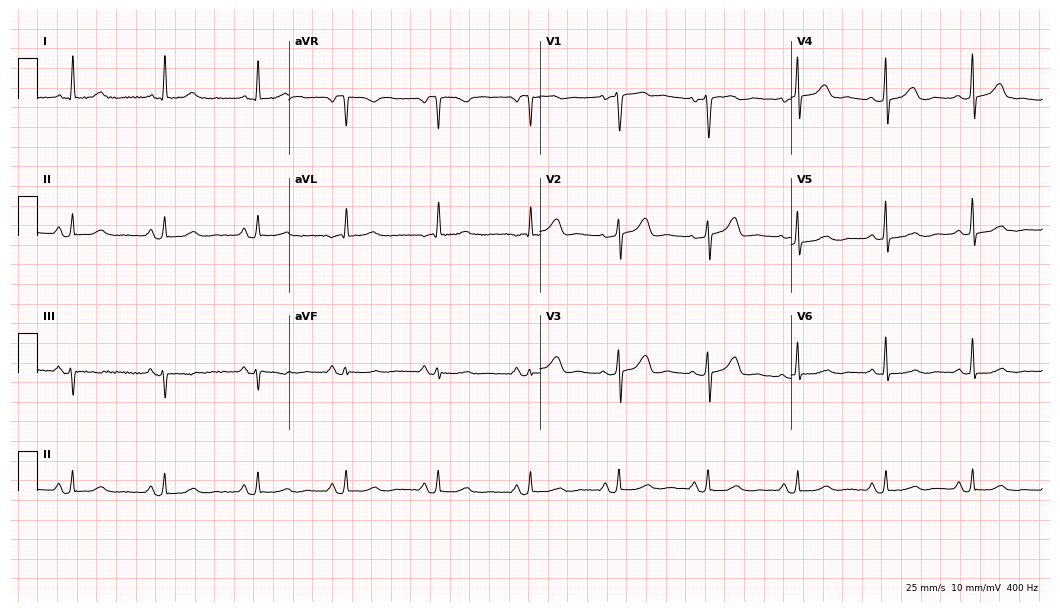
12-lead ECG from a woman, 52 years old (10.2-second recording at 400 Hz). No first-degree AV block, right bundle branch block (RBBB), left bundle branch block (LBBB), sinus bradycardia, atrial fibrillation (AF) or sinus tachycardia recorded for this tracing.